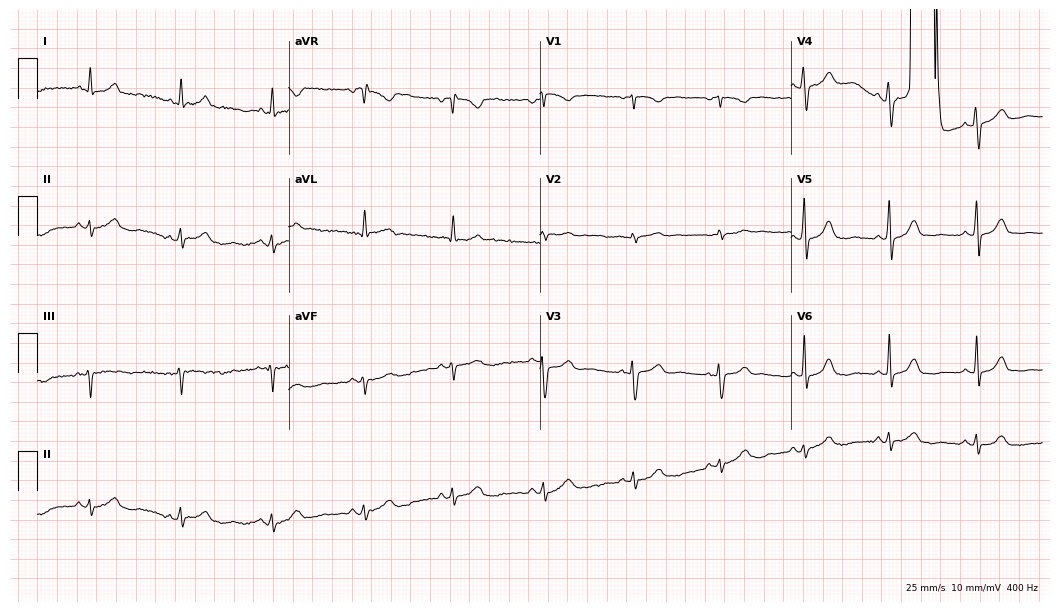
12-lead ECG from a 52-year-old woman. Screened for six findings — first-degree AV block, right bundle branch block, left bundle branch block, sinus bradycardia, atrial fibrillation, sinus tachycardia — none is recorded.